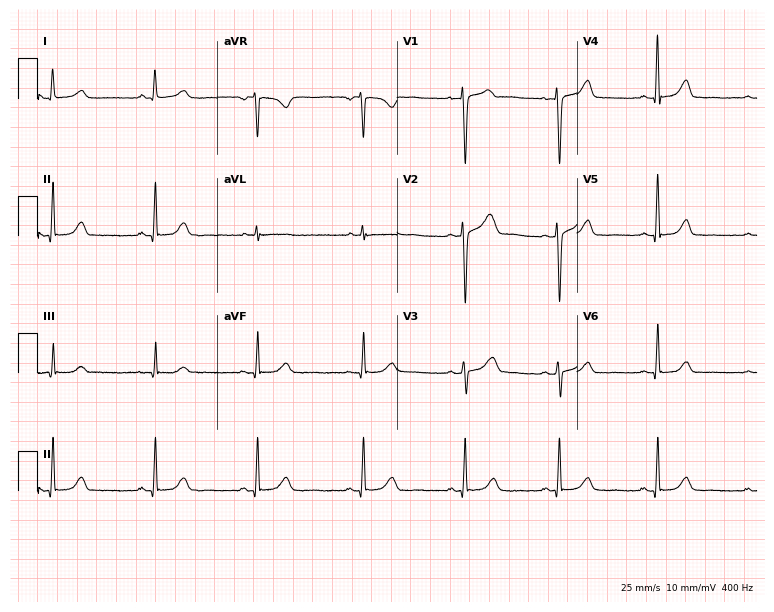
ECG — a 27-year-old woman. Screened for six findings — first-degree AV block, right bundle branch block, left bundle branch block, sinus bradycardia, atrial fibrillation, sinus tachycardia — none is recorded.